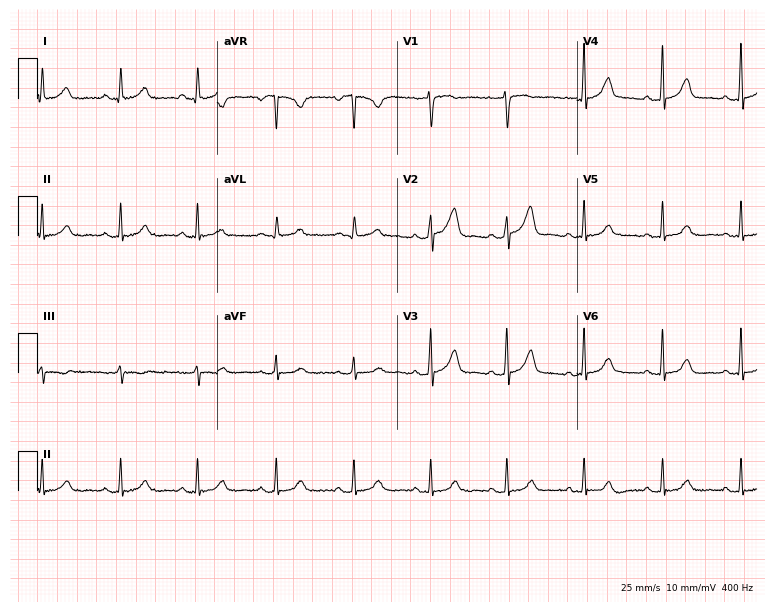
ECG — a 37-year-old female. Labelled as a normal ECG.